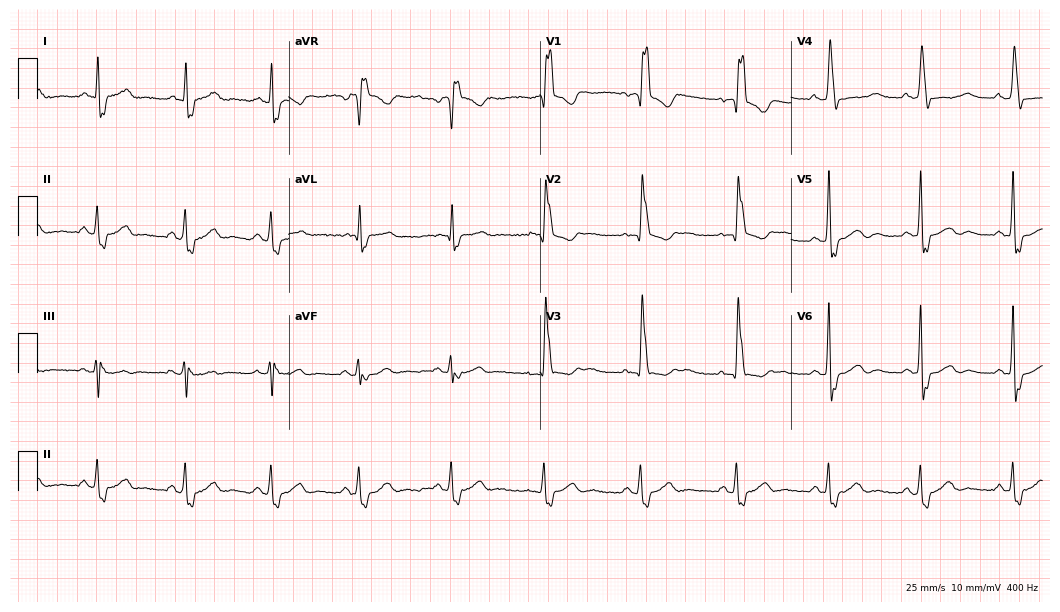
ECG — a 70-year-old male. Findings include right bundle branch block.